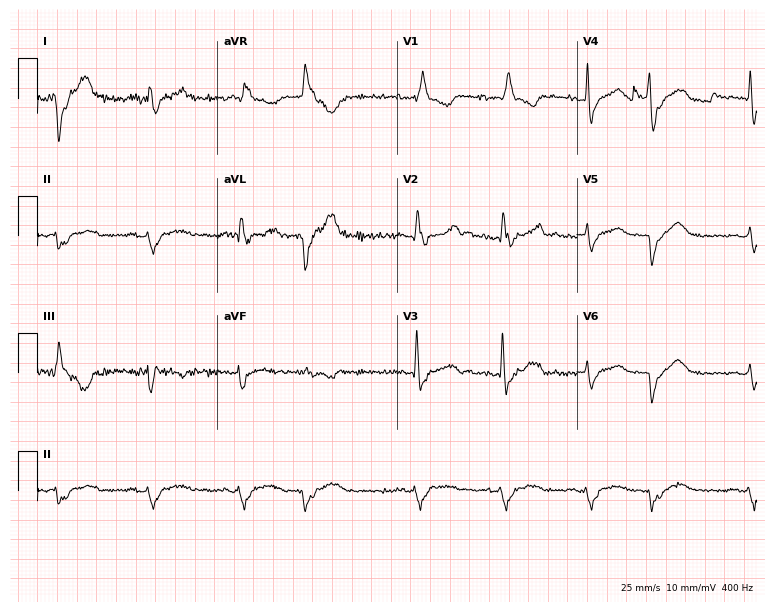
Electrocardiogram, a woman, 65 years old. Interpretation includes right bundle branch block.